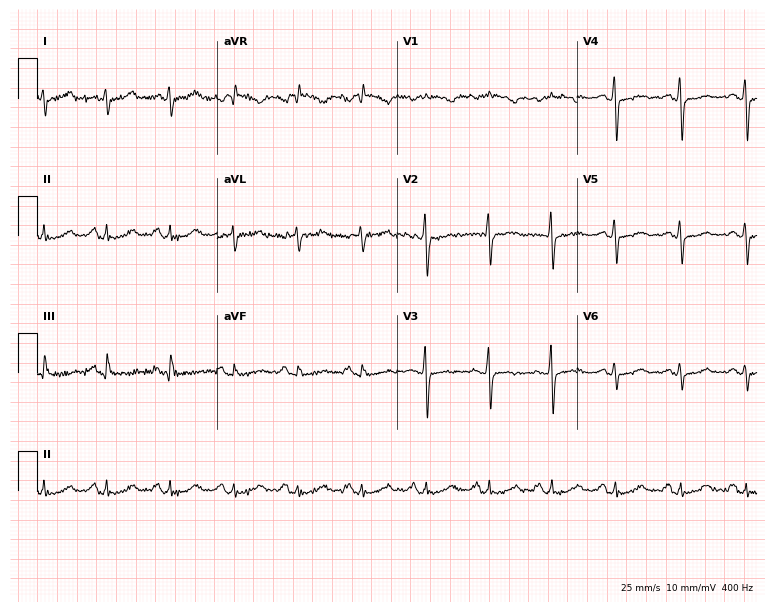
12-lead ECG from a 65-year-old female patient. No first-degree AV block, right bundle branch block (RBBB), left bundle branch block (LBBB), sinus bradycardia, atrial fibrillation (AF) or sinus tachycardia recorded for this tracing.